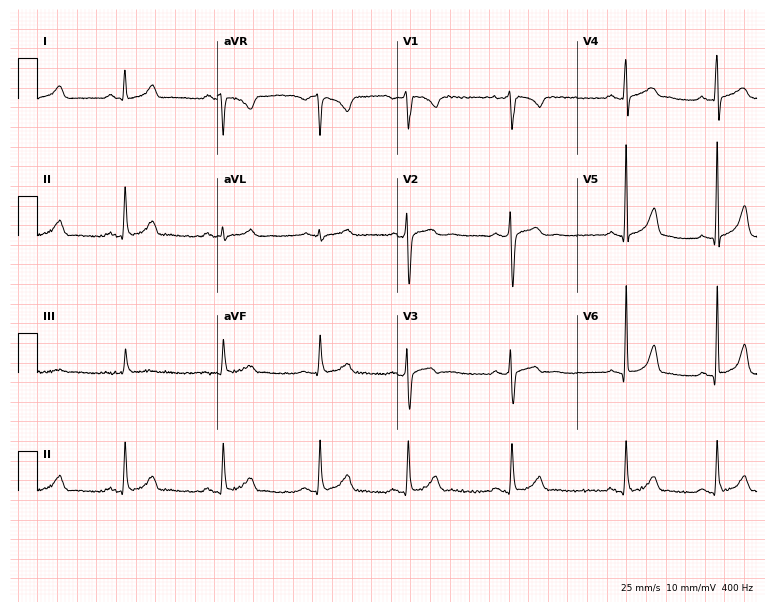
12-lead ECG from a 17-year-old female patient. No first-degree AV block, right bundle branch block, left bundle branch block, sinus bradycardia, atrial fibrillation or sinus tachycardia recorded for this tracing. Other findings, if any, are not listed.